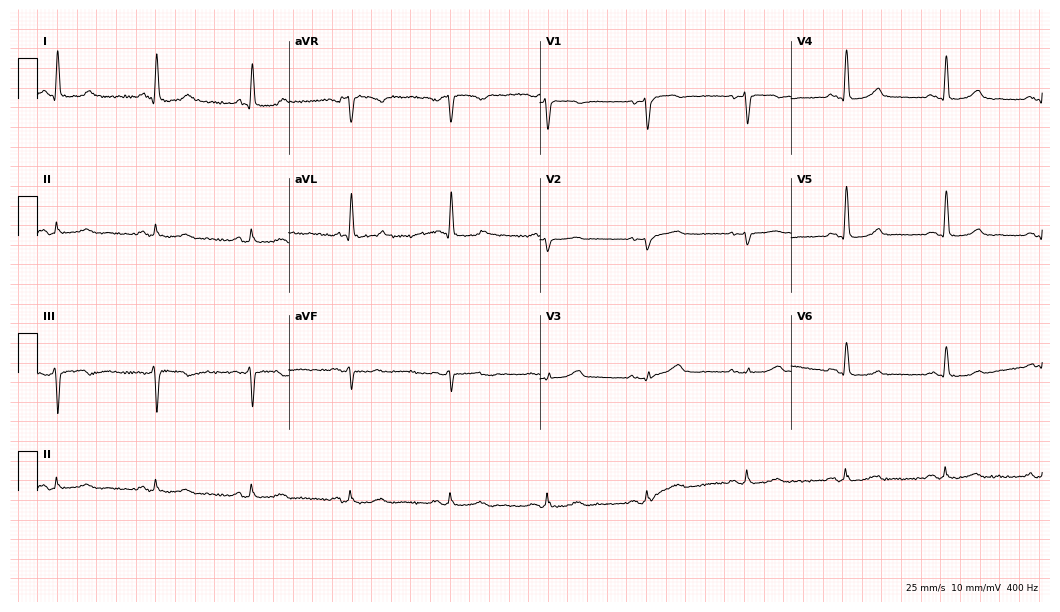
Standard 12-lead ECG recorded from a woman, 79 years old. Read as a normal ECG.